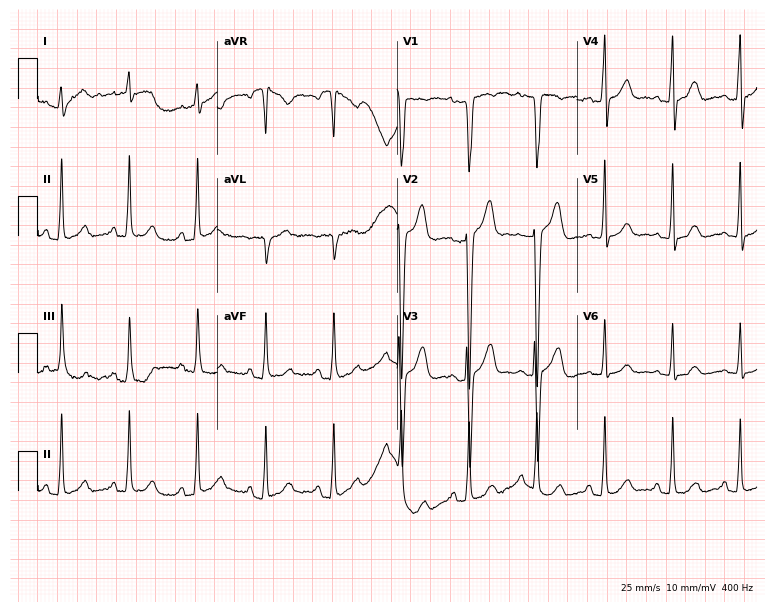
ECG — a 39-year-old male. Screened for six findings — first-degree AV block, right bundle branch block, left bundle branch block, sinus bradycardia, atrial fibrillation, sinus tachycardia — none is recorded. Only these six findings were labelled.